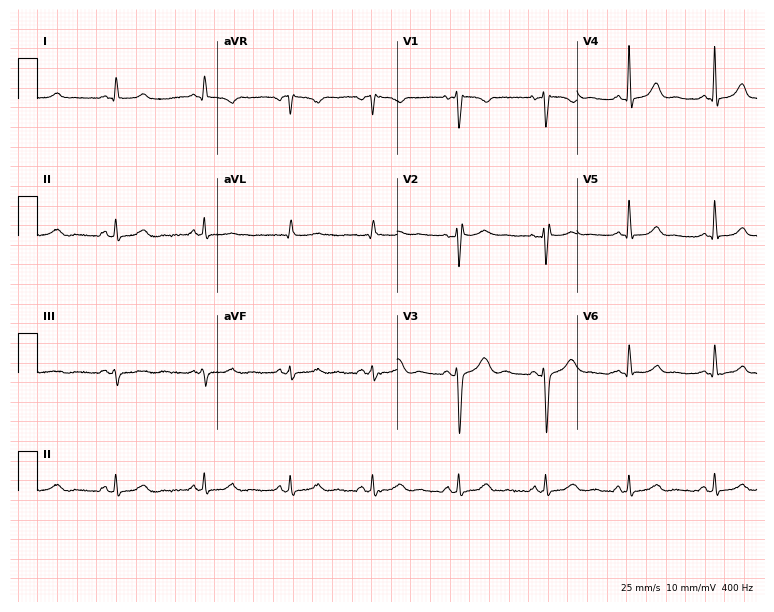
Electrocardiogram, a 43-year-old female. Overall reading on record: normal ECG.